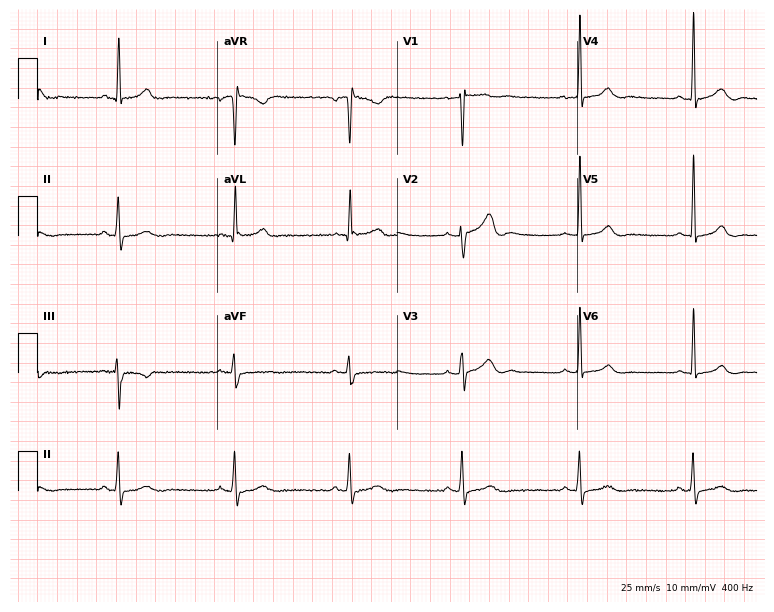
Electrocardiogram (7.3-second recording at 400 Hz), a 45-year-old man. Overall reading on record: normal ECG.